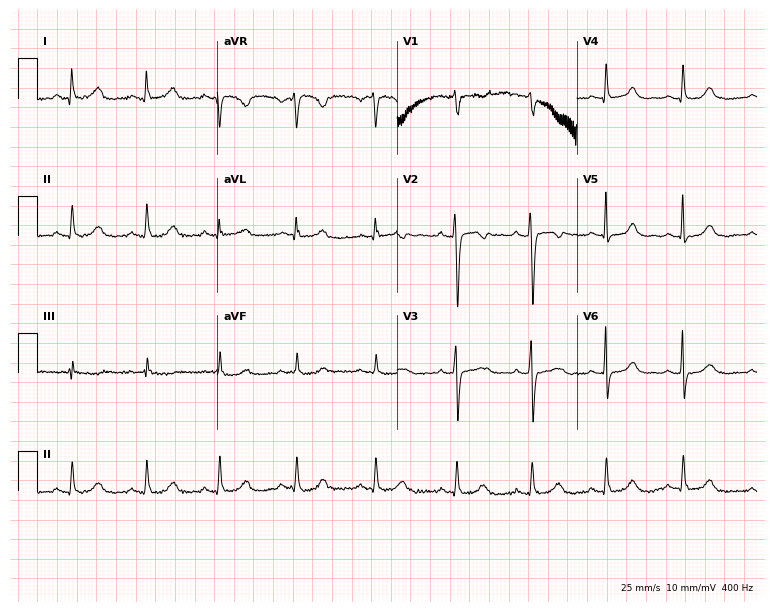
12-lead ECG from a 40-year-old woman. Screened for six findings — first-degree AV block, right bundle branch block, left bundle branch block, sinus bradycardia, atrial fibrillation, sinus tachycardia — none is recorded. Findings outside these six are not listed.